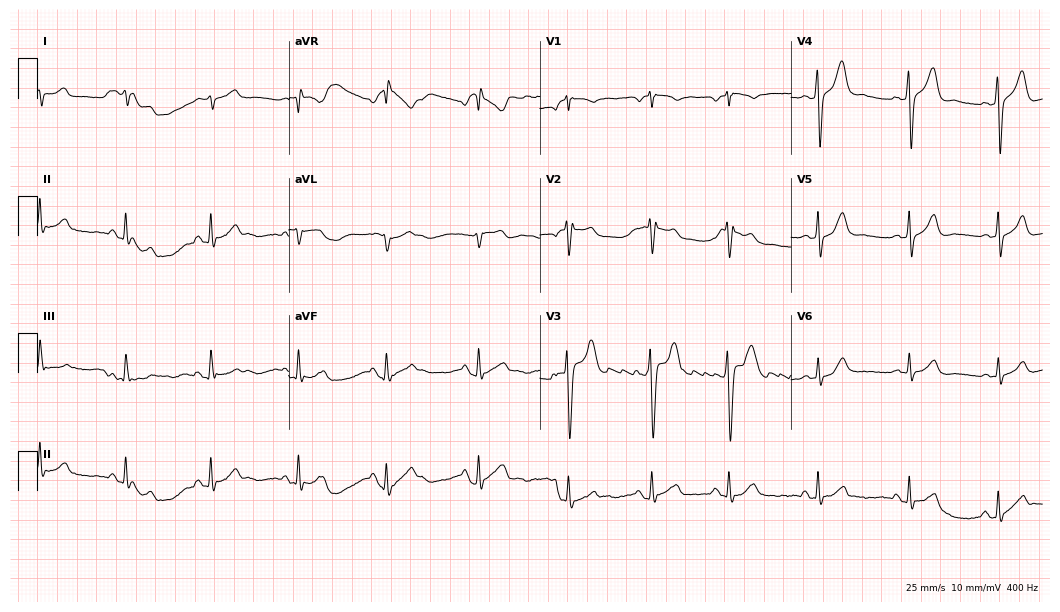
Electrocardiogram, a male patient, 27 years old. Overall reading on record: normal ECG.